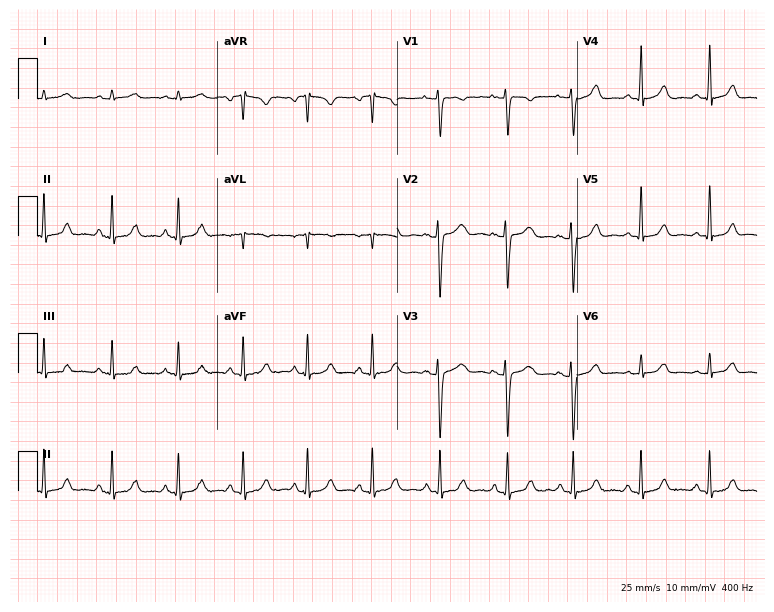
Standard 12-lead ECG recorded from a 20-year-old woman. Read as a normal ECG.